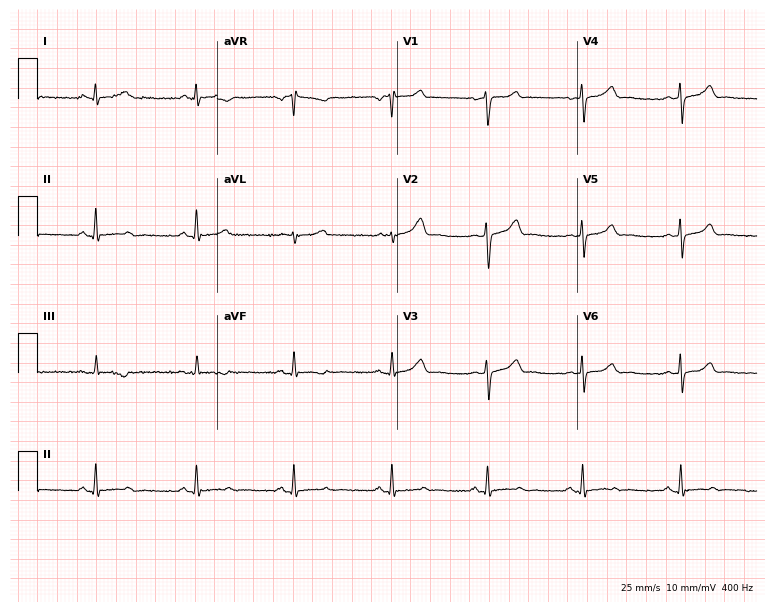
Electrocardiogram, a man, 47 years old. Of the six screened findings (first-degree AV block, right bundle branch block, left bundle branch block, sinus bradycardia, atrial fibrillation, sinus tachycardia), none is recorded.